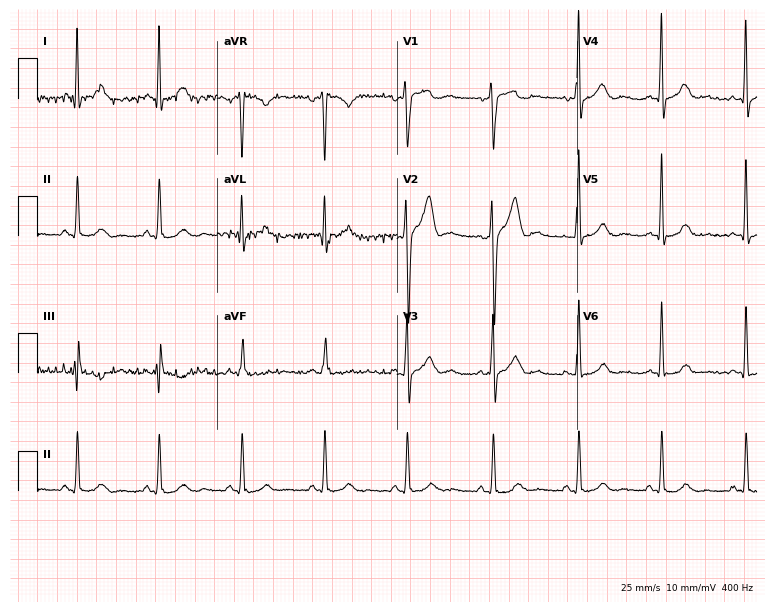
12-lead ECG (7.3-second recording at 400 Hz) from a 38-year-old male. Labelled as a normal ECG.